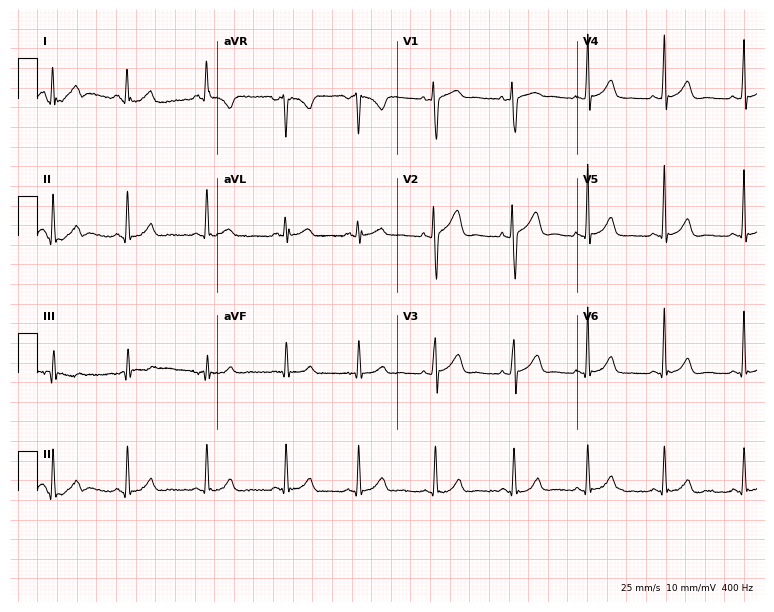
Standard 12-lead ECG recorded from a 25-year-old female patient. Read as a normal ECG.